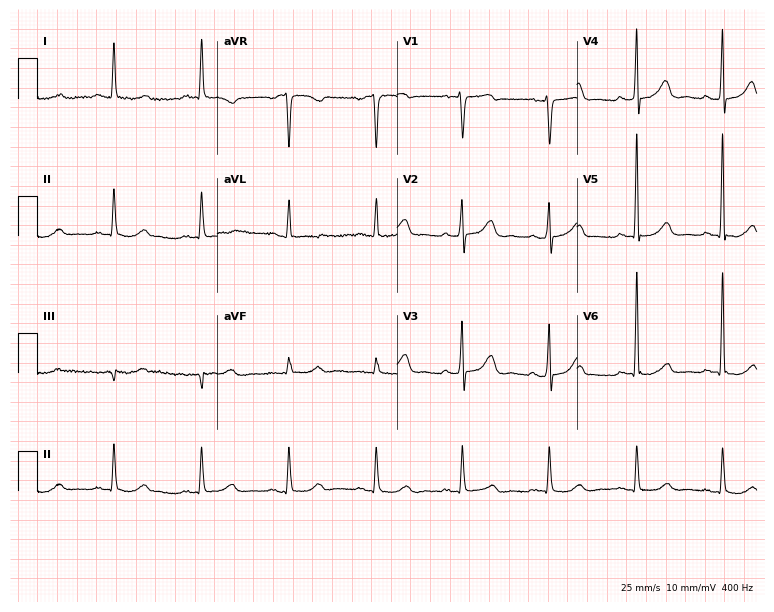
Resting 12-lead electrocardiogram. Patient: a female, 65 years old. None of these six findings is recorded: first-degree AV block, right bundle branch block, left bundle branch block, sinus bradycardia, atrial fibrillation, sinus tachycardia. Findings outside these six are not listed.